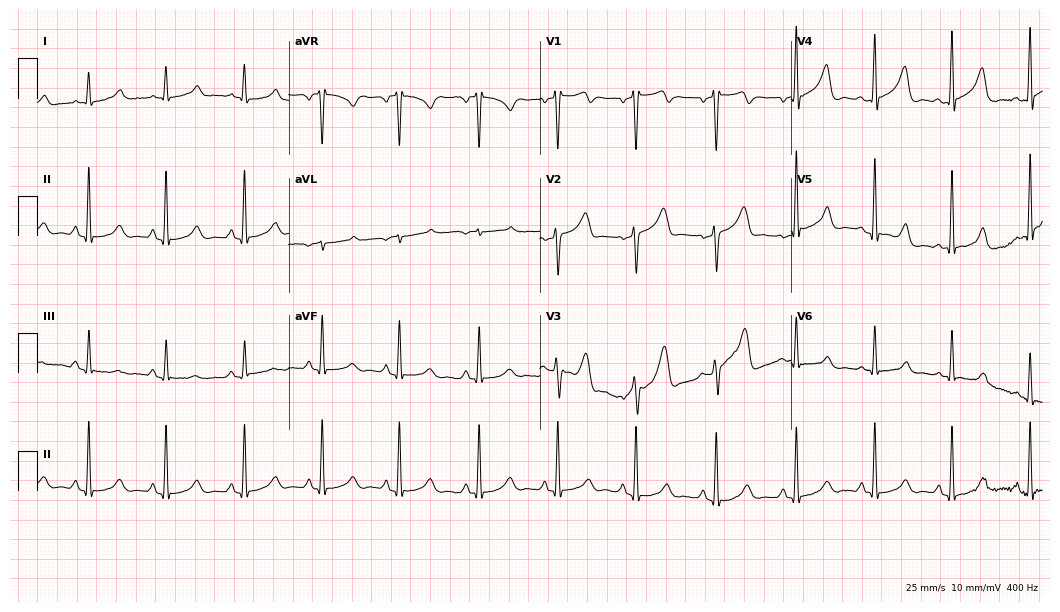
Electrocardiogram (10.2-second recording at 400 Hz), a 48-year-old male. Overall reading on record: normal ECG.